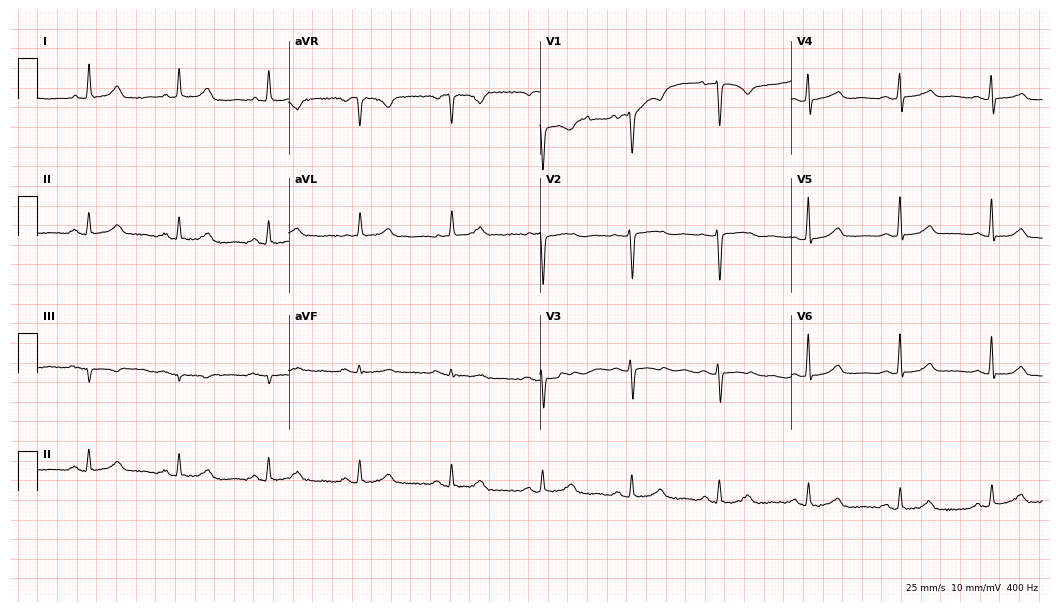
12-lead ECG (10.2-second recording at 400 Hz) from a female patient, 61 years old. Labelled as a normal ECG.